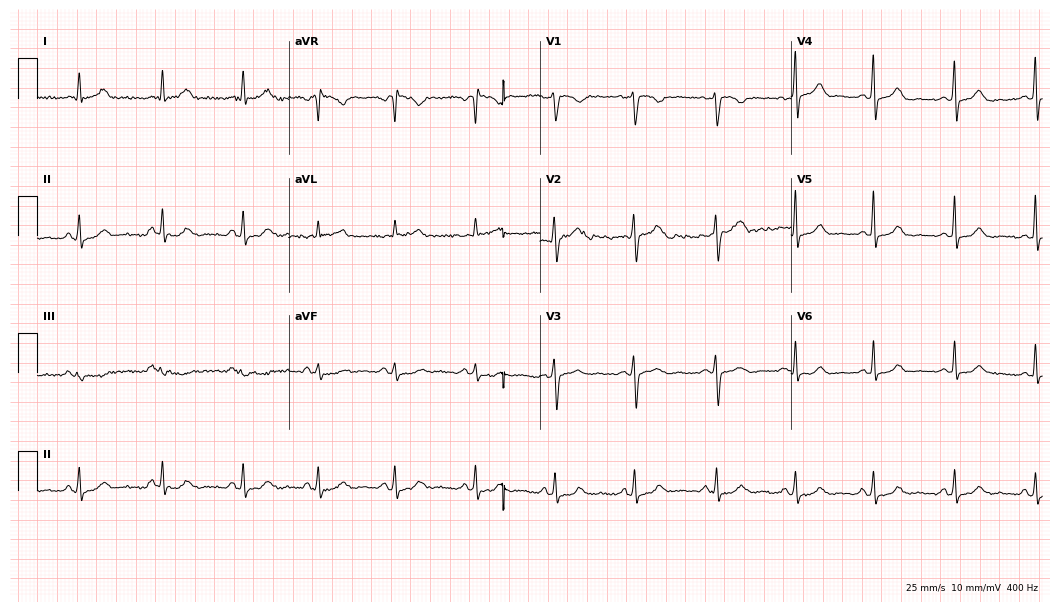
Resting 12-lead electrocardiogram. Patient: a 38-year-old female. None of these six findings is recorded: first-degree AV block, right bundle branch block, left bundle branch block, sinus bradycardia, atrial fibrillation, sinus tachycardia.